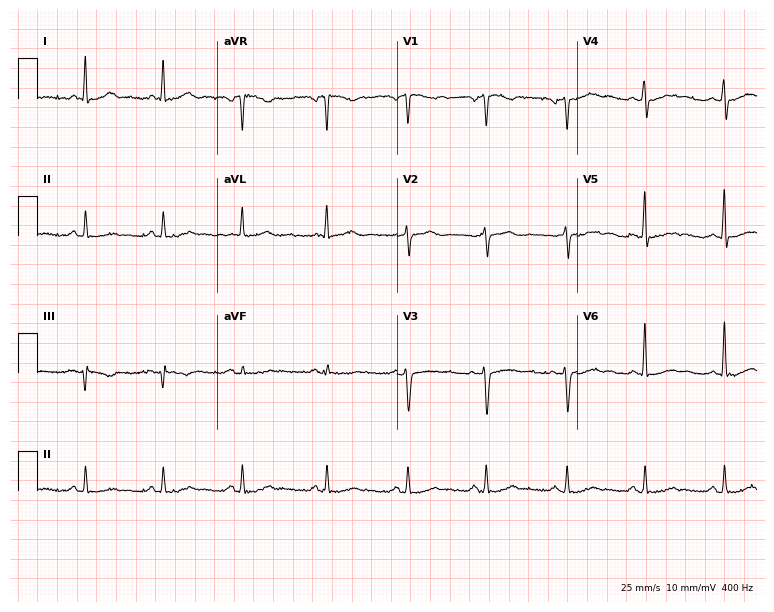
Resting 12-lead electrocardiogram (7.3-second recording at 400 Hz). Patient: a 40-year-old woman. None of these six findings is recorded: first-degree AV block, right bundle branch block, left bundle branch block, sinus bradycardia, atrial fibrillation, sinus tachycardia.